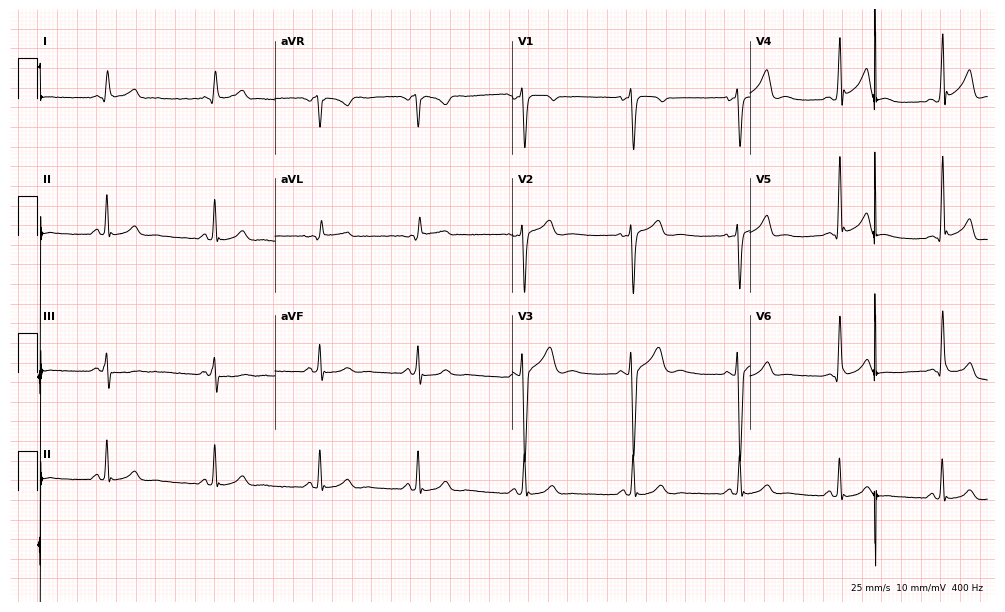
Standard 12-lead ECG recorded from a male patient, 21 years old (9.7-second recording at 400 Hz). None of these six findings is recorded: first-degree AV block, right bundle branch block, left bundle branch block, sinus bradycardia, atrial fibrillation, sinus tachycardia. Other findings, if any, are not listed.